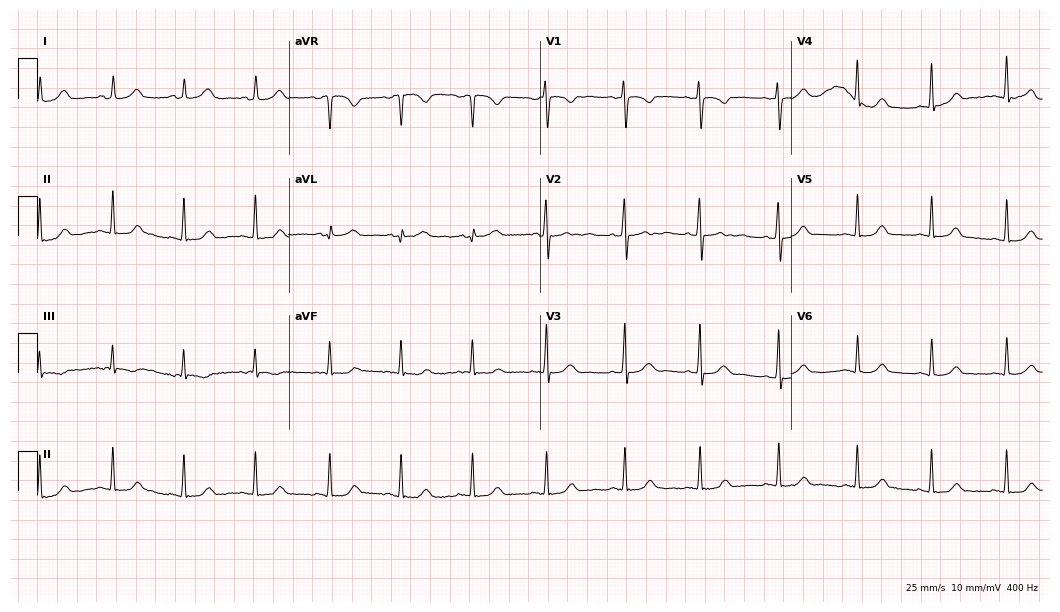
Standard 12-lead ECG recorded from a 23-year-old woman (10.2-second recording at 400 Hz). Read as a normal ECG.